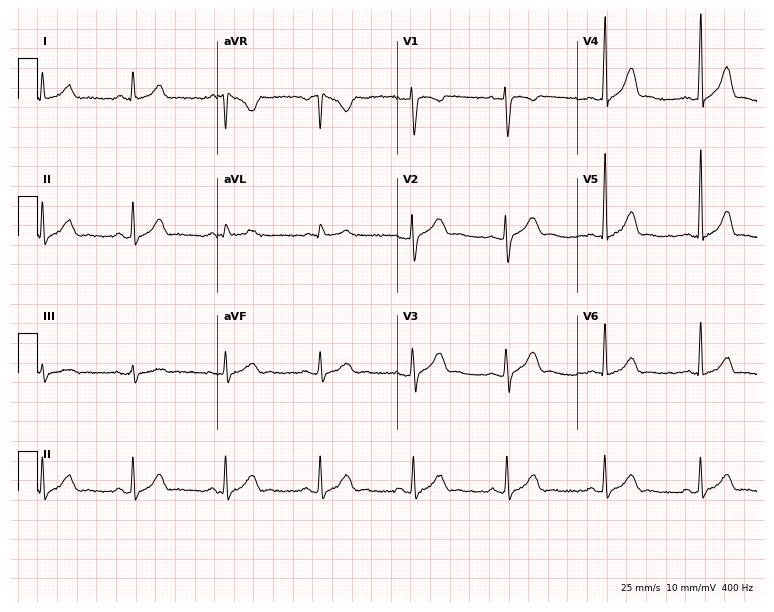
Electrocardiogram, a 31-year-old man. Overall reading on record: normal ECG.